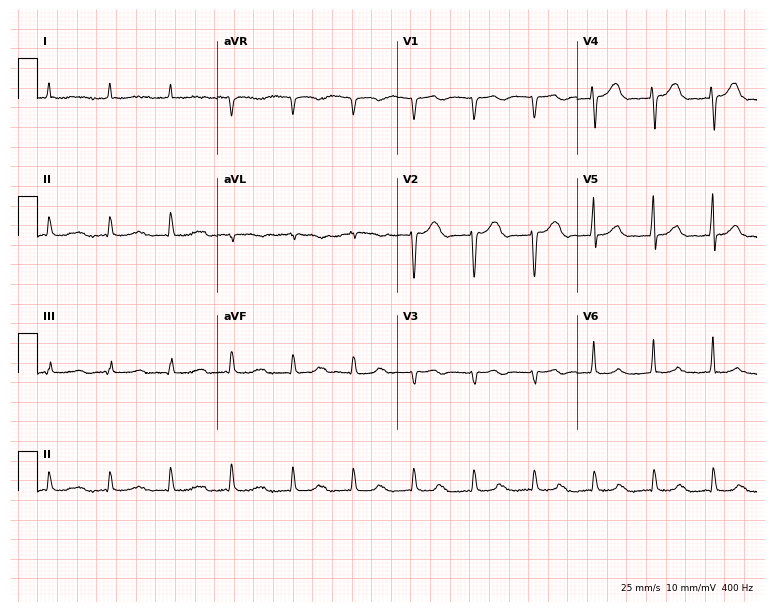
Standard 12-lead ECG recorded from a 64-year-old man. The tracing shows first-degree AV block.